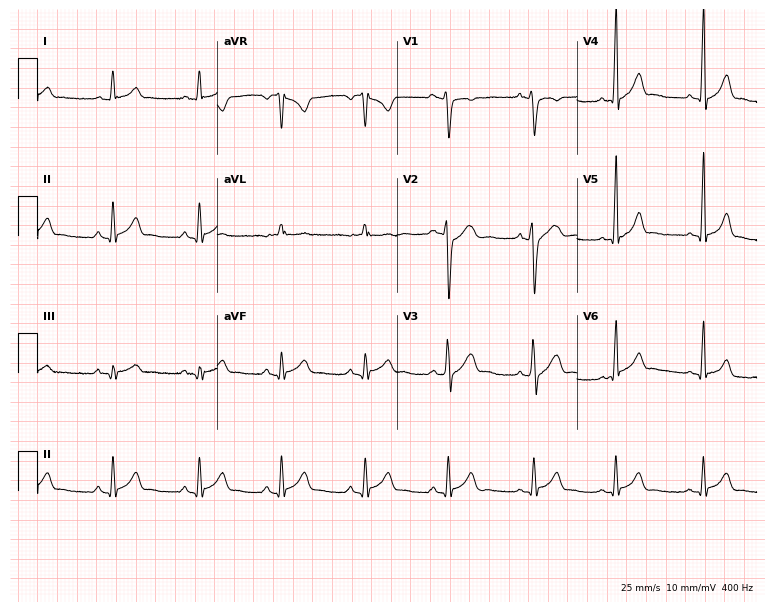
12-lead ECG (7.3-second recording at 400 Hz) from a male, 23 years old. Screened for six findings — first-degree AV block, right bundle branch block, left bundle branch block, sinus bradycardia, atrial fibrillation, sinus tachycardia — none is recorded.